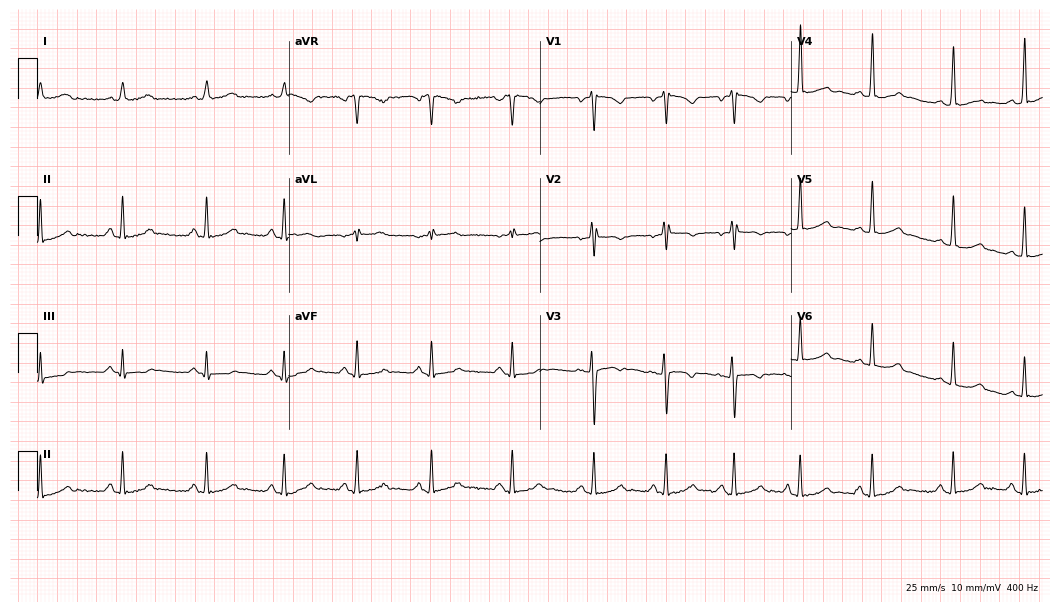
12-lead ECG (10.2-second recording at 400 Hz) from a woman, 20 years old. Labelled as a normal ECG.